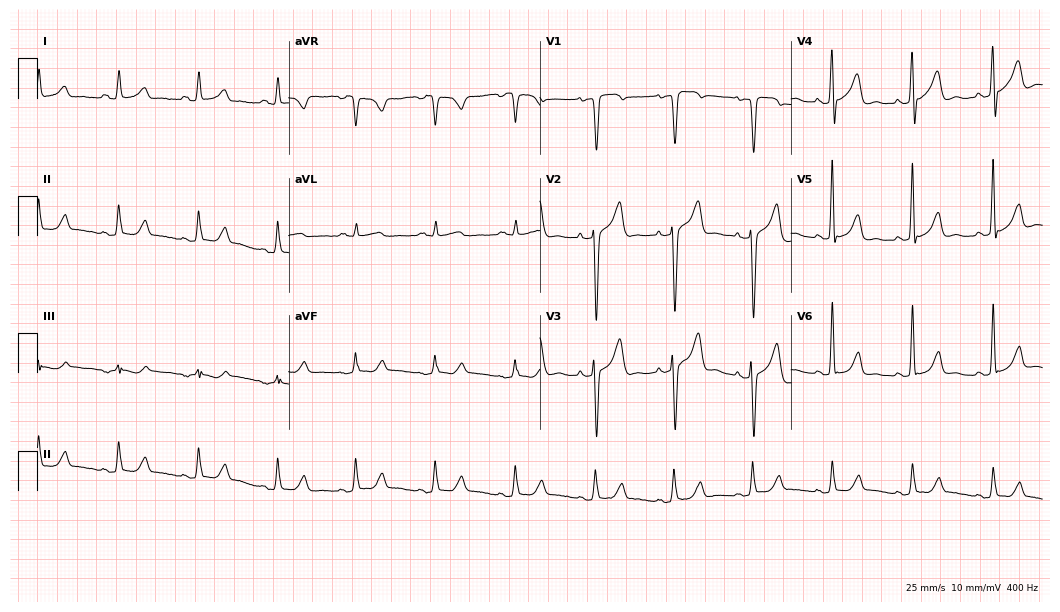
ECG (10.2-second recording at 400 Hz) — a male patient, 85 years old. Screened for six findings — first-degree AV block, right bundle branch block (RBBB), left bundle branch block (LBBB), sinus bradycardia, atrial fibrillation (AF), sinus tachycardia — none is recorded.